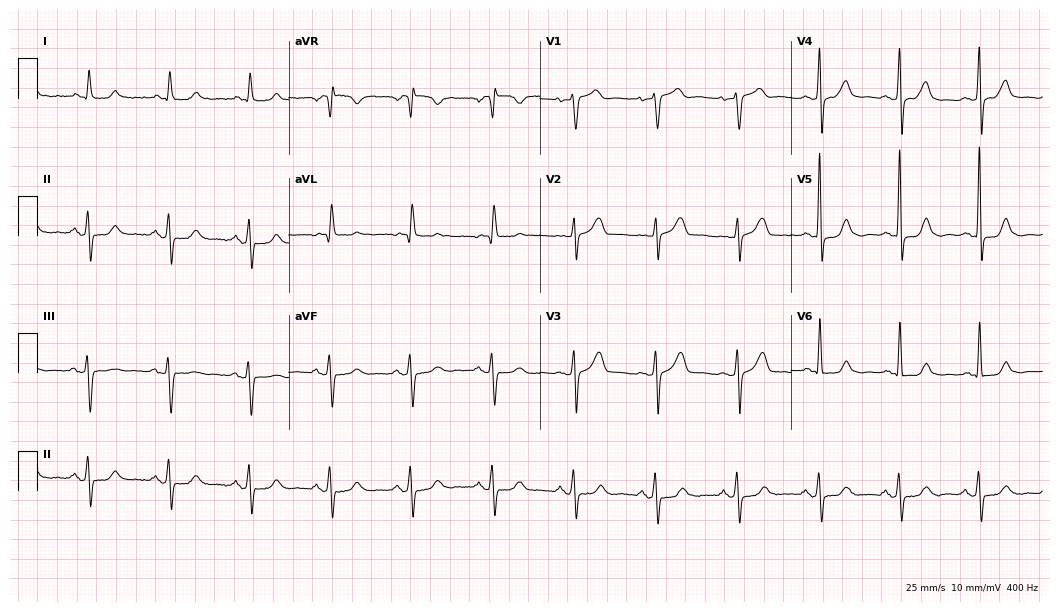
ECG (10.2-second recording at 400 Hz) — a woman, 77 years old. Labelled as a normal ECG.